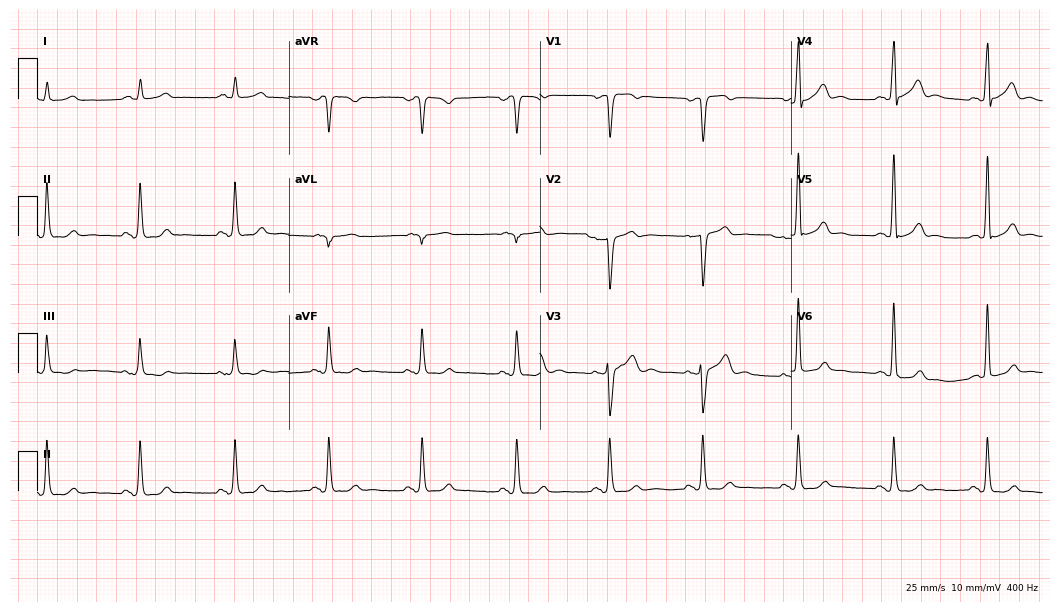
Electrocardiogram, a male, 62 years old. Overall reading on record: normal ECG.